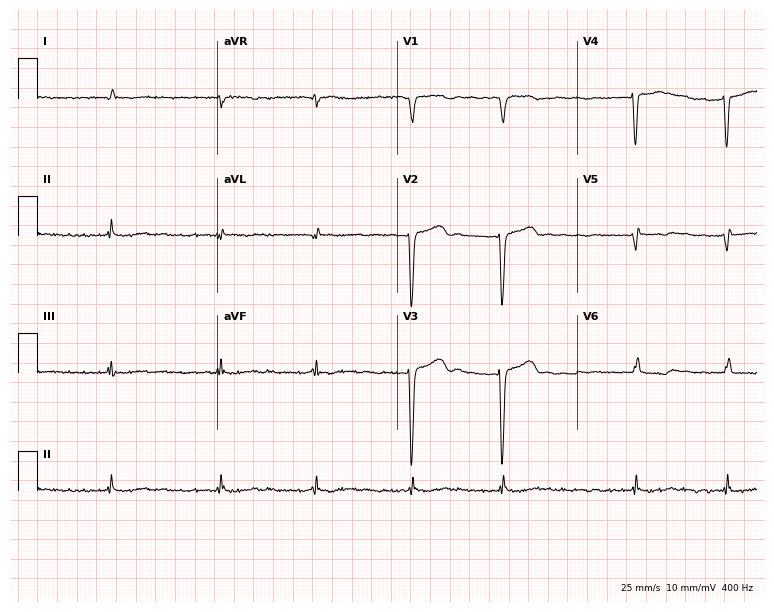
Resting 12-lead electrocardiogram. Patient: a male, 65 years old. The tracing shows atrial fibrillation (AF).